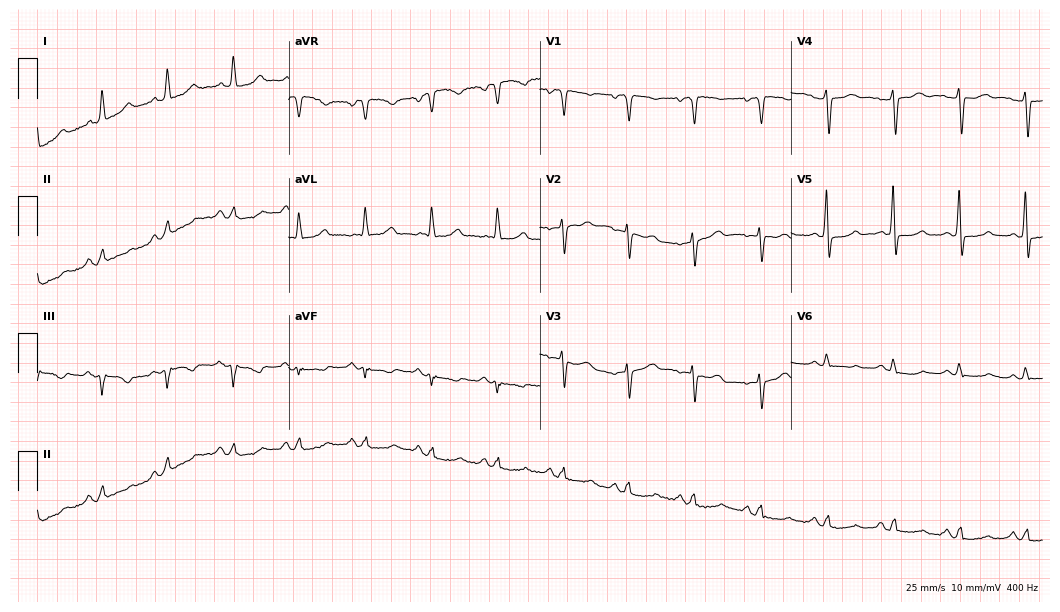
ECG (10.2-second recording at 400 Hz) — a female patient, 75 years old. Screened for six findings — first-degree AV block, right bundle branch block, left bundle branch block, sinus bradycardia, atrial fibrillation, sinus tachycardia — none is recorded.